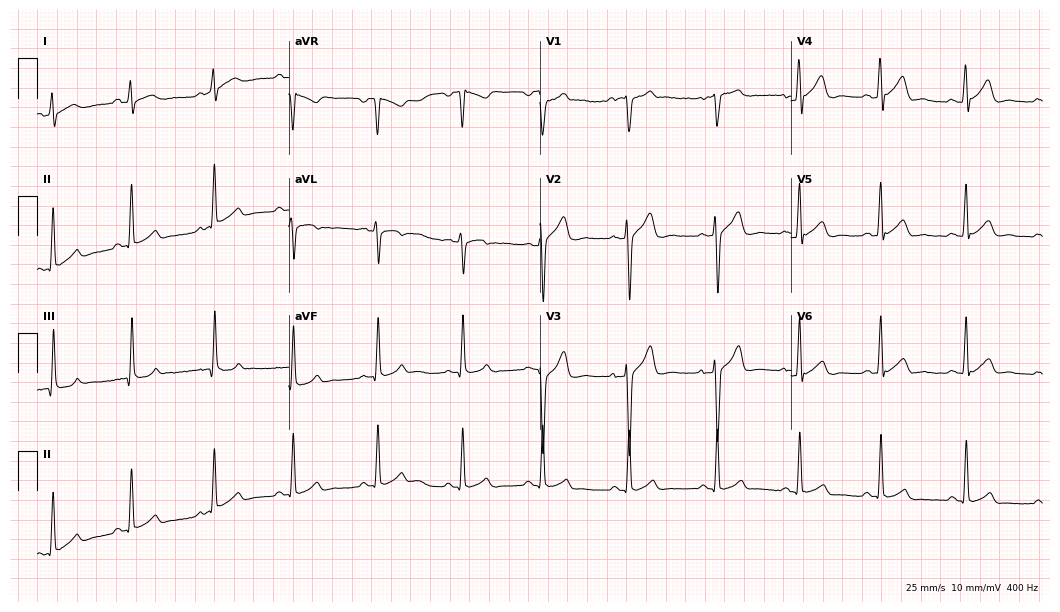
Electrocardiogram (10.2-second recording at 400 Hz), a male patient, 24 years old. Overall reading on record: normal ECG.